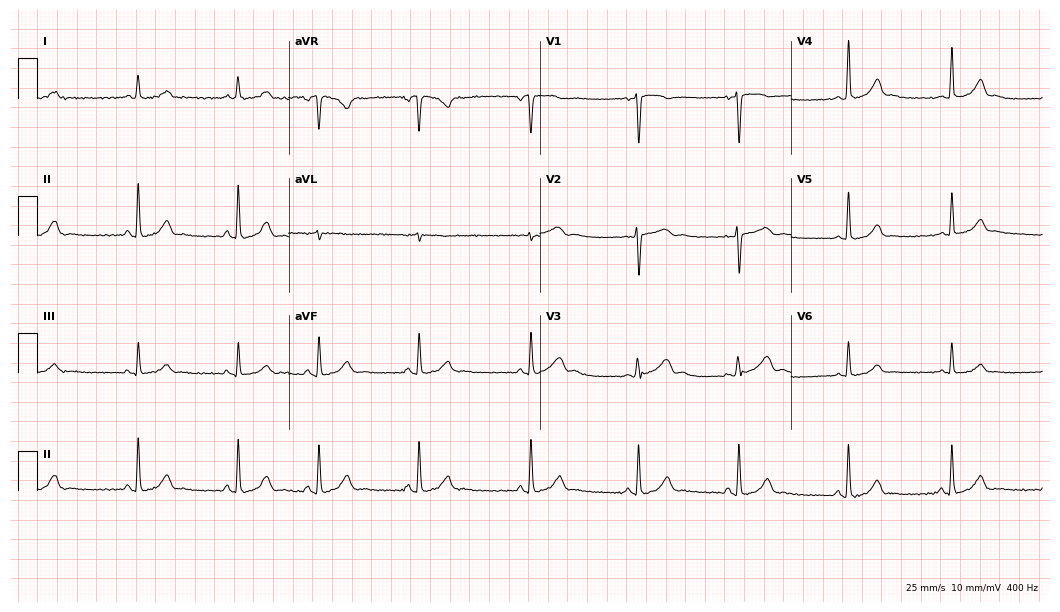
Standard 12-lead ECG recorded from a 29-year-old female patient (10.2-second recording at 400 Hz). None of these six findings is recorded: first-degree AV block, right bundle branch block, left bundle branch block, sinus bradycardia, atrial fibrillation, sinus tachycardia.